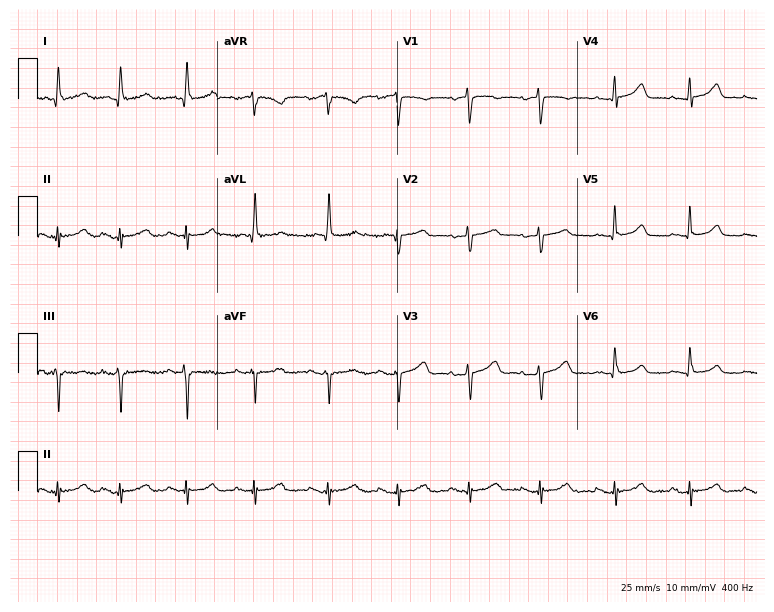
Resting 12-lead electrocardiogram. Patient: a female, 77 years old. None of these six findings is recorded: first-degree AV block, right bundle branch block, left bundle branch block, sinus bradycardia, atrial fibrillation, sinus tachycardia. Findings outside these six are not listed.